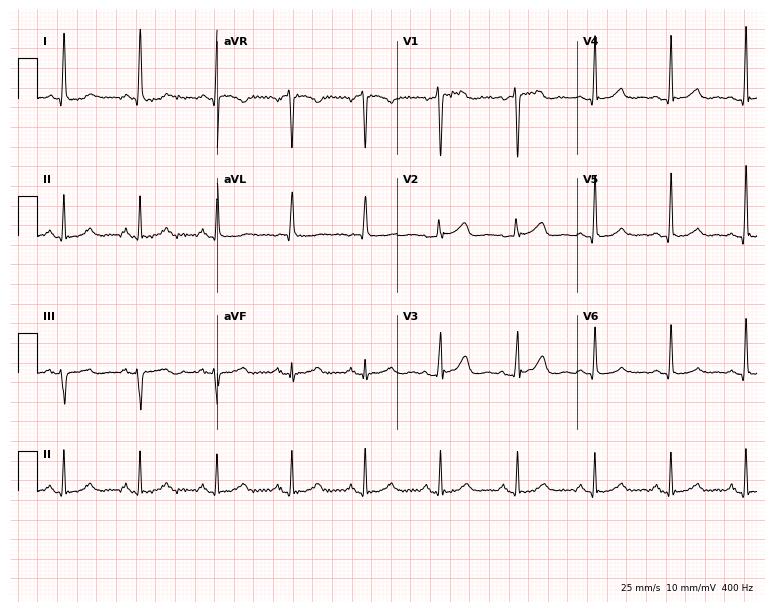
ECG — a female patient, 72 years old. Labelled as a normal ECG.